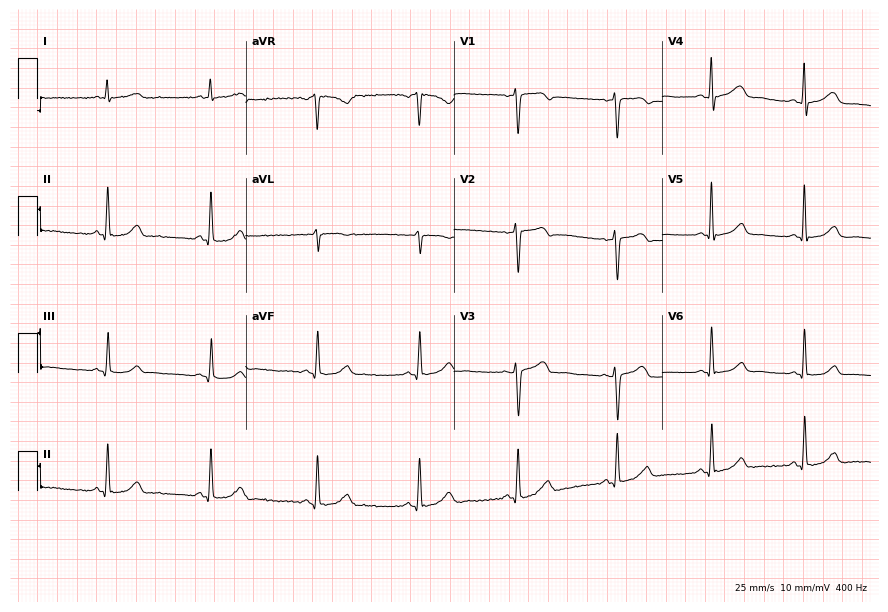
Resting 12-lead electrocardiogram (8.5-second recording at 400 Hz). Patient: a female, 54 years old. Read as a normal ECG.